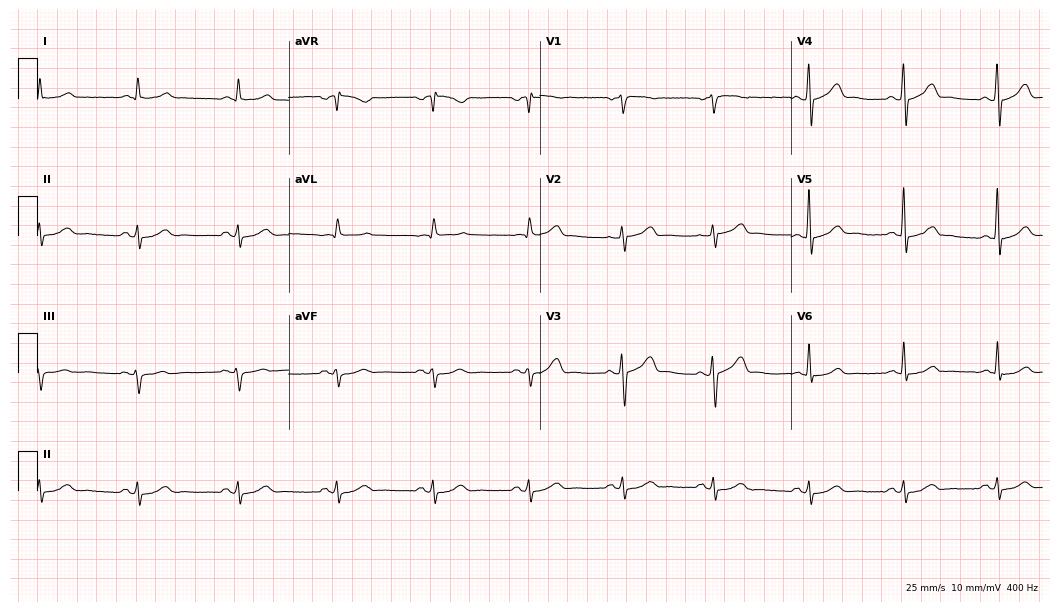
Resting 12-lead electrocardiogram (10.2-second recording at 400 Hz). Patient: a male, 63 years old. Read as a normal ECG.